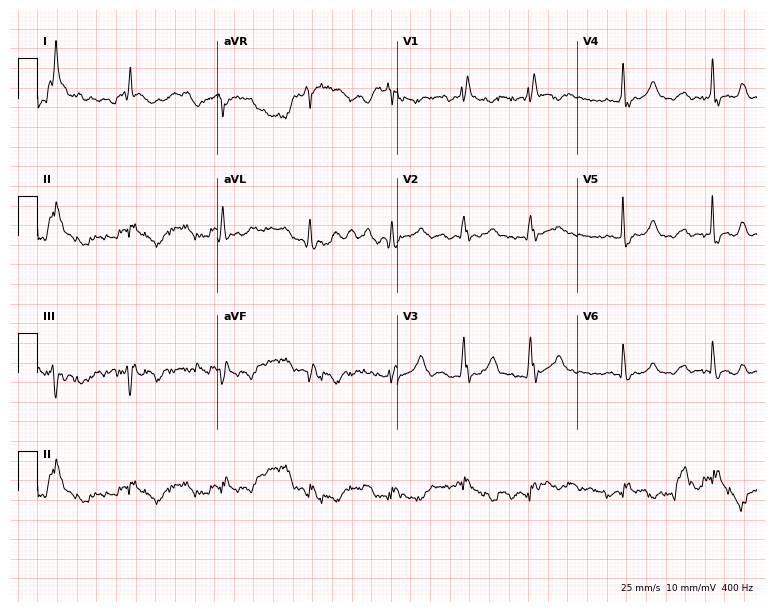
Electrocardiogram, a 68-year-old man. Interpretation includes right bundle branch block.